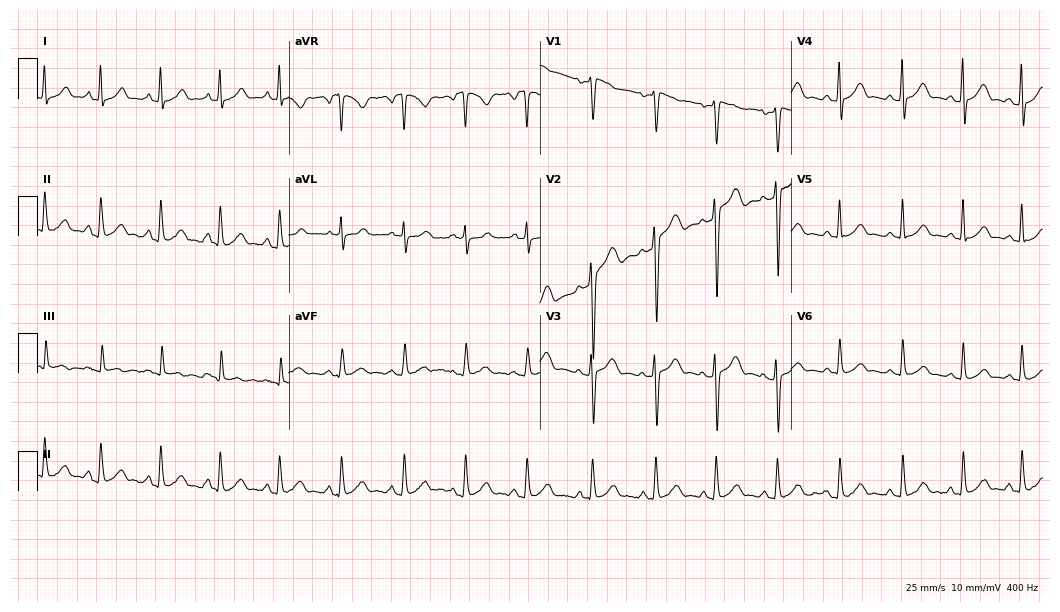
Resting 12-lead electrocardiogram (10.2-second recording at 400 Hz). Patient: a 21-year-old female. Read as a normal ECG.